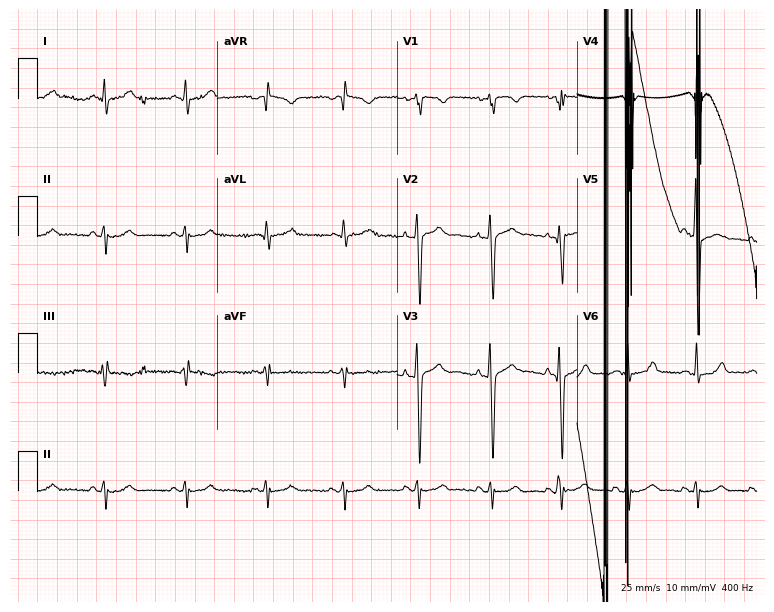
12-lead ECG from a 38-year-old man. No first-degree AV block, right bundle branch block (RBBB), left bundle branch block (LBBB), sinus bradycardia, atrial fibrillation (AF) or sinus tachycardia recorded for this tracing.